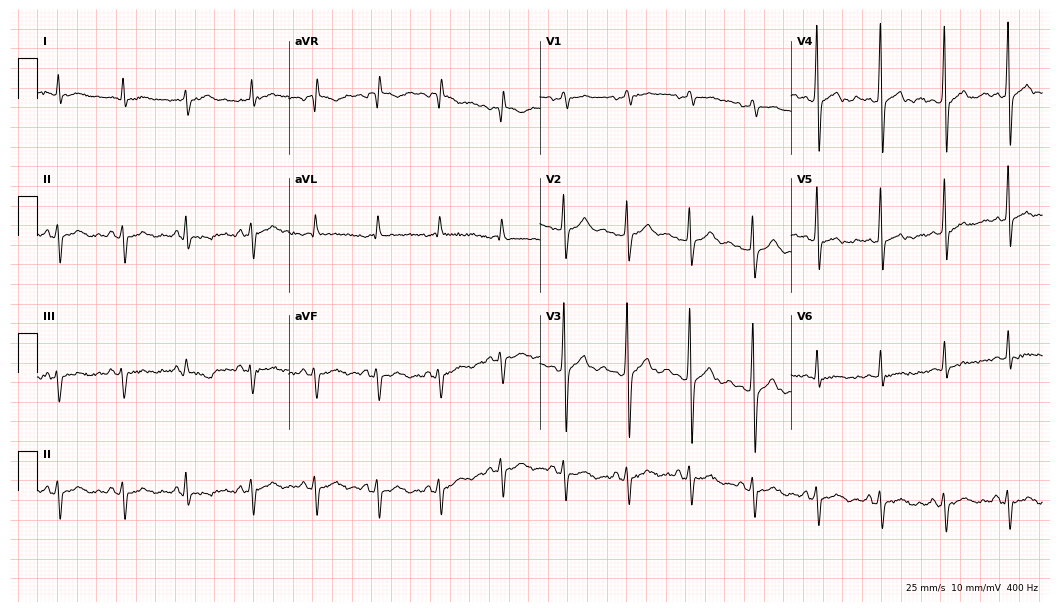
ECG (10.2-second recording at 400 Hz) — a 55-year-old male patient. Screened for six findings — first-degree AV block, right bundle branch block, left bundle branch block, sinus bradycardia, atrial fibrillation, sinus tachycardia — none is recorded. Findings outside these six are not listed.